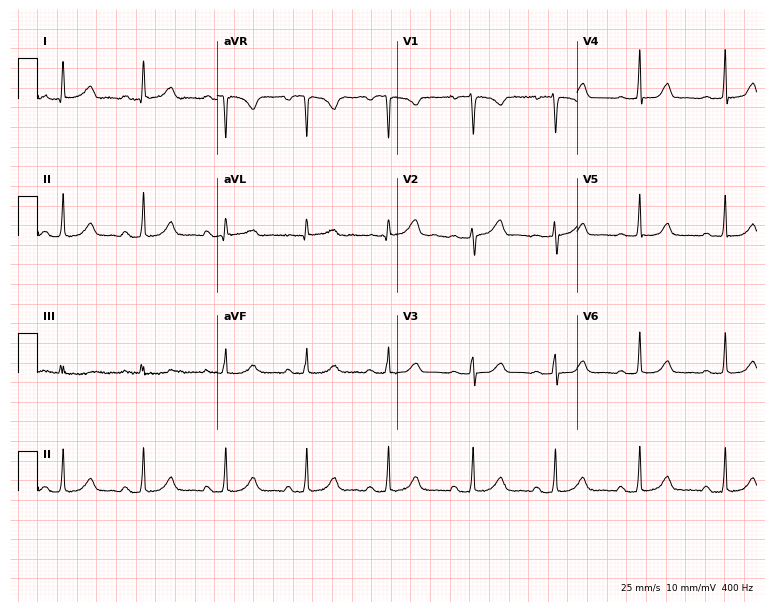
Standard 12-lead ECG recorded from a 31-year-old female (7.3-second recording at 400 Hz). Read as a normal ECG.